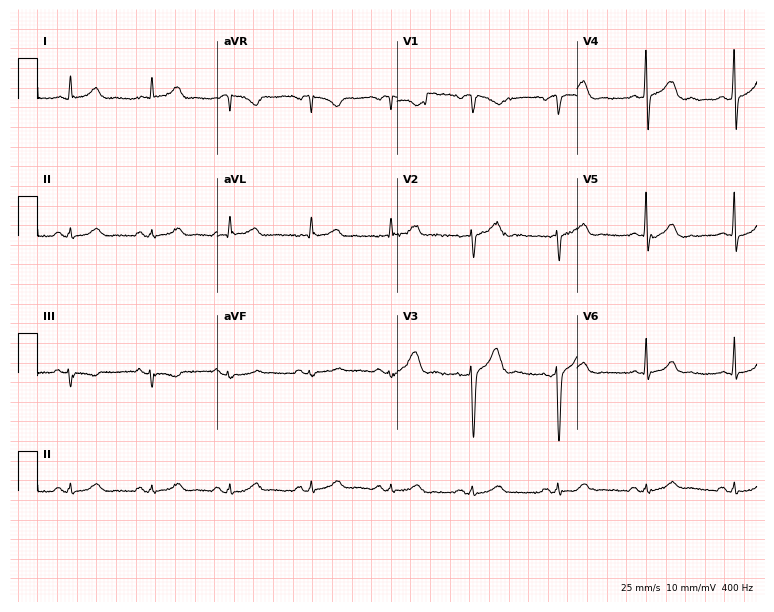
ECG — a man, 37 years old. Labelled as a normal ECG.